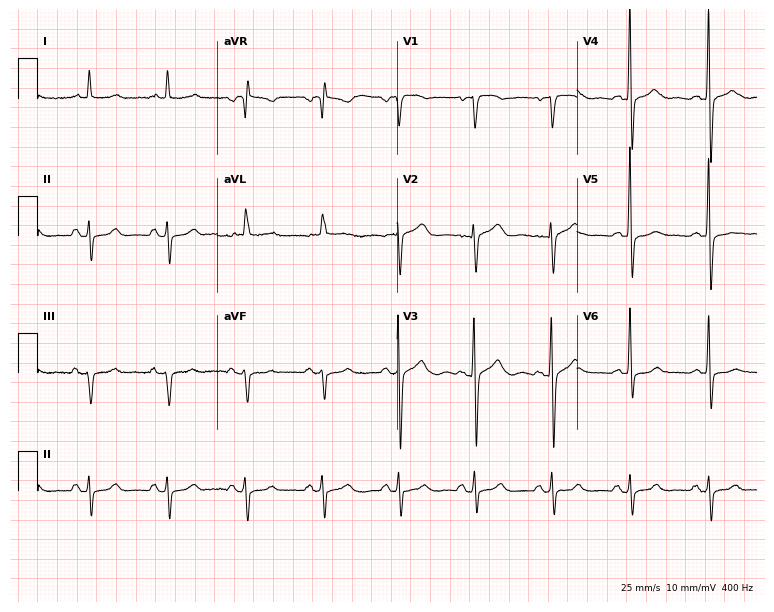
Resting 12-lead electrocardiogram (7.3-second recording at 400 Hz). Patient: a 66-year-old female. None of these six findings is recorded: first-degree AV block, right bundle branch block, left bundle branch block, sinus bradycardia, atrial fibrillation, sinus tachycardia.